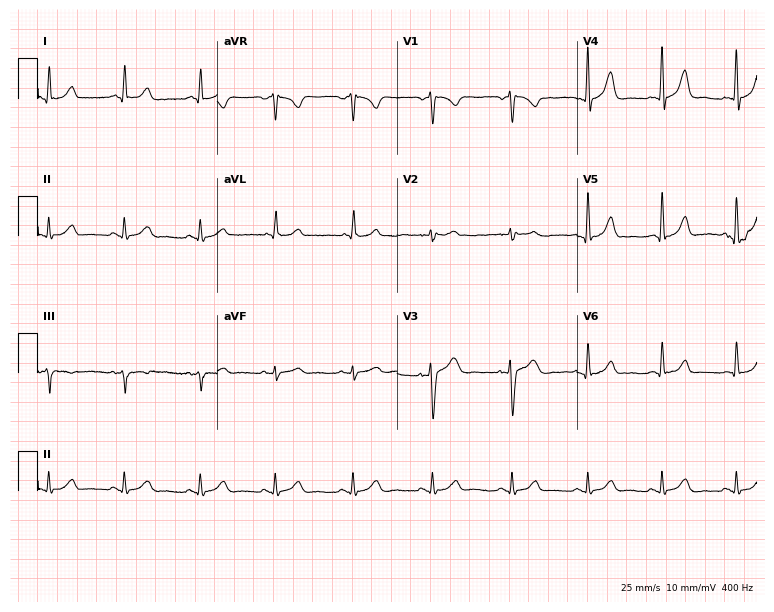
Electrocardiogram, a 44-year-old man. Of the six screened findings (first-degree AV block, right bundle branch block, left bundle branch block, sinus bradycardia, atrial fibrillation, sinus tachycardia), none is recorded.